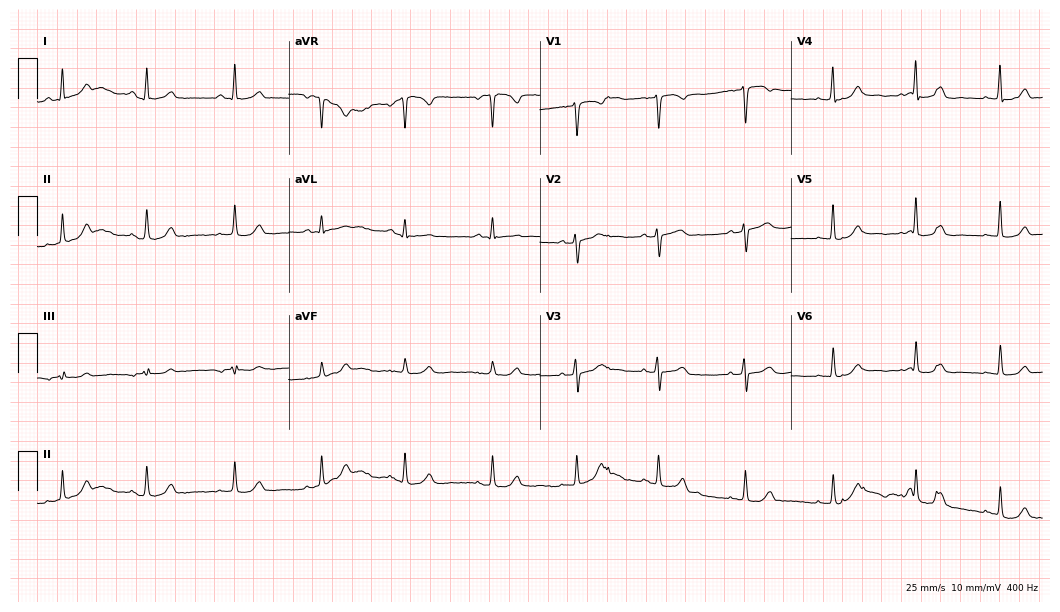
Electrocardiogram (10.2-second recording at 400 Hz), a woman, 38 years old. Overall reading on record: normal ECG.